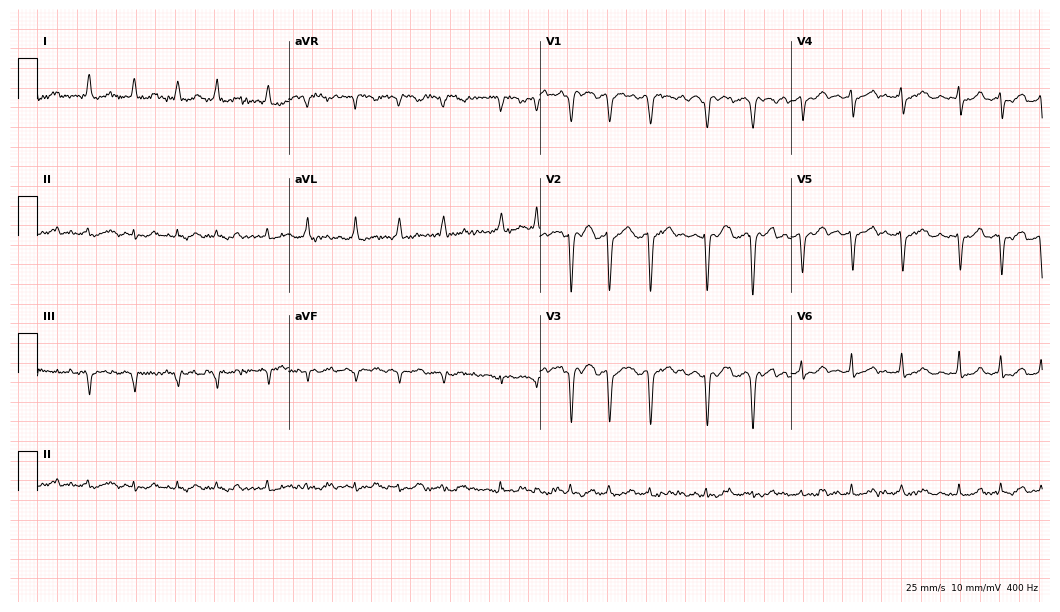
ECG (10.2-second recording at 400 Hz) — a woman, 81 years old. Screened for six findings — first-degree AV block, right bundle branch block, left bundle branch block, sinus bradycardia, atrial fibrillation, sinus tachycardia — none is recorded. Findings outside these six are not listed.